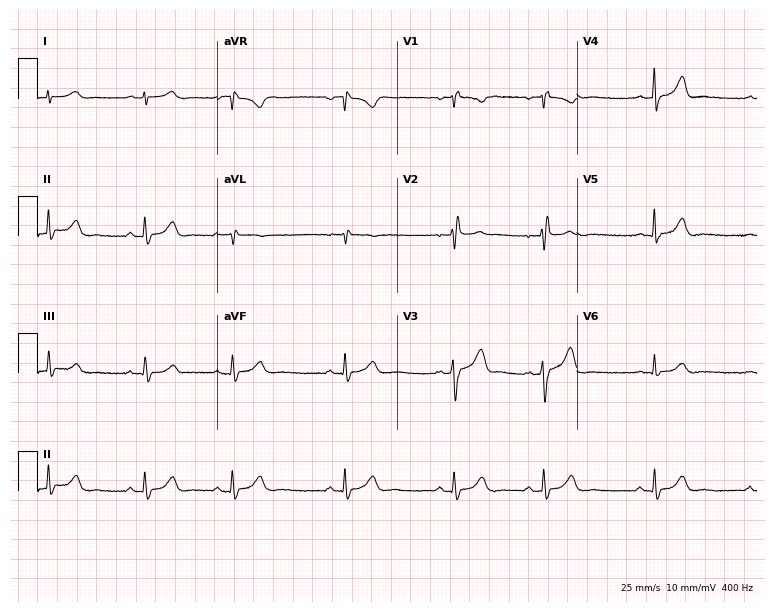
Resting 12-lead electrocardiogram. Patient: a female, 25 years old. None of these six findings is recorded: first-degree AV block, right bundle branch block (RBBB), left bundle branch block (LBBB), sinus bradycardia, atrial fibrillation (AF), sinus tachycardia. Only these six findings were labelled.